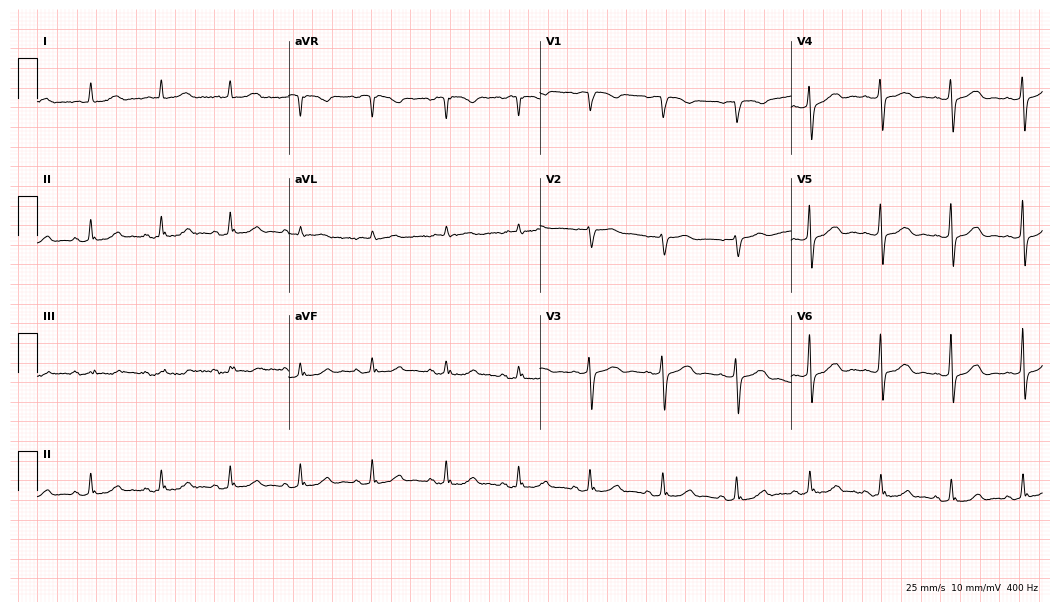
12-lead ECG from a 74-year-old male patient. Labelled as a normal ECG.